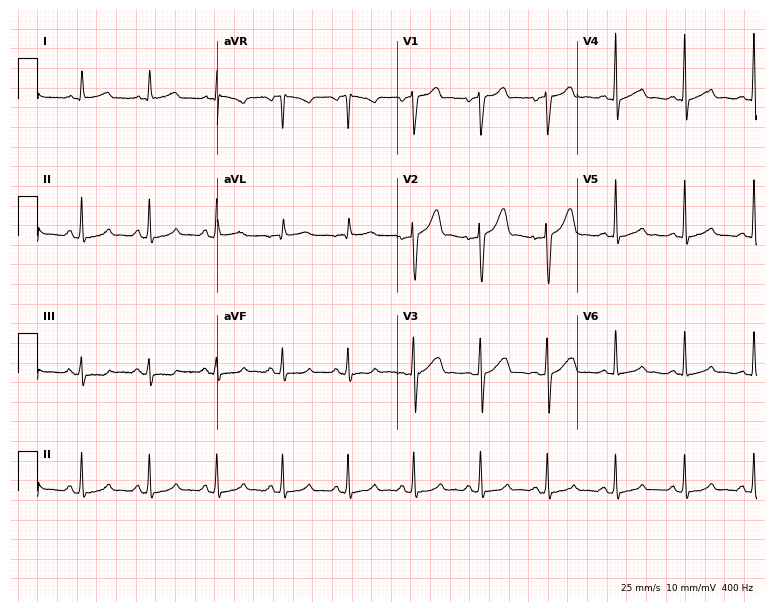
ECG (7.3-second recording at 400 Hz) — a male patient, 63 years old. Labelled as a normal ECG.